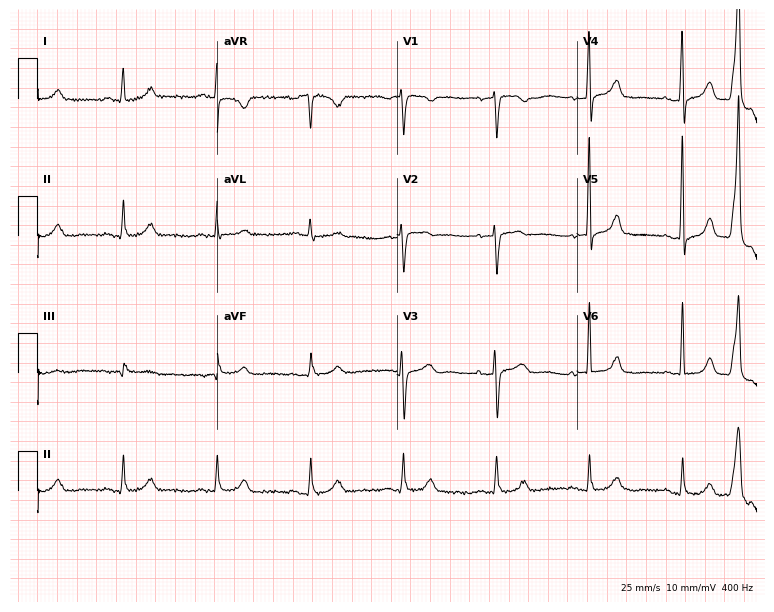
12-lead ECG from a 69-year-old woman. Screened for six findings — first-degree AV block, right bundle branch block, left bundle branch block, sinus bradycardia, atrial fibrillation, sinus tachycardia — none is recorded. Only these six findings were labelled.